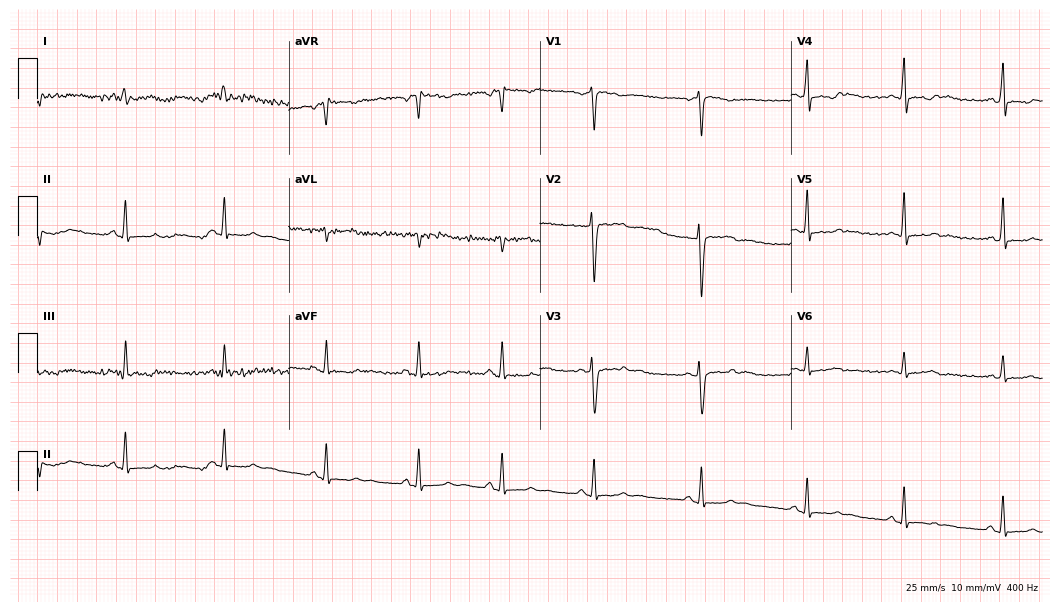
12-lead ECG from a 38-year-old woman. No first-degree AV block, right bundle branch block, left bundle branch block, sinus bradycardia, atrial fibrillation or sinus tachycardia recorded for this tracing.